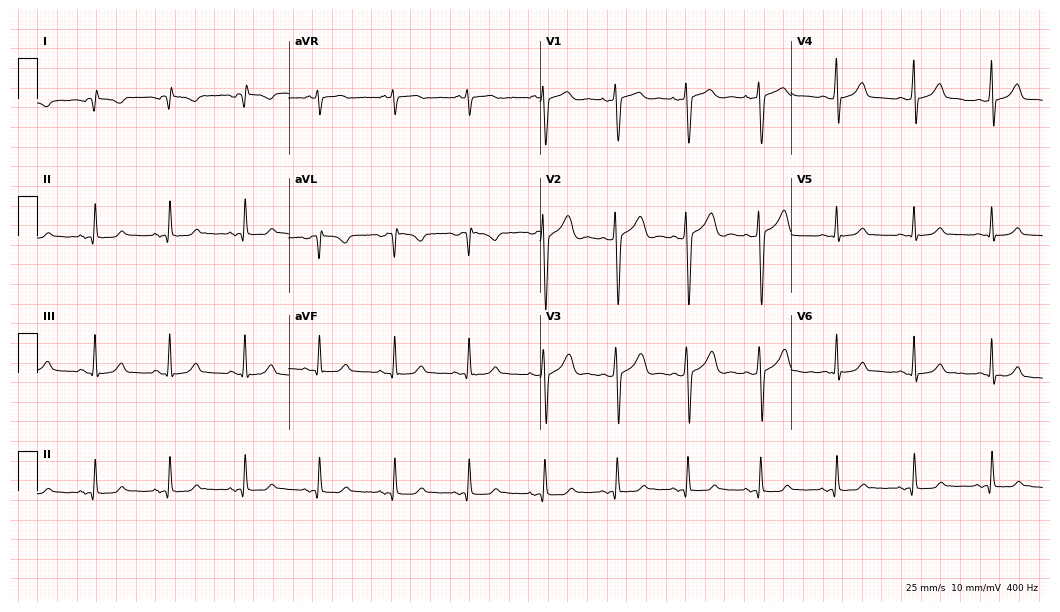
12-lead ECG (10.2-second recording at 400 Hz) from a 20-year-old woman. Screened for six findings — first-degree AV block, right bundle branch block, left bundle branch block, sinus bradycardia, atrial fibrillation, sinus tachycardia — none is recorded.